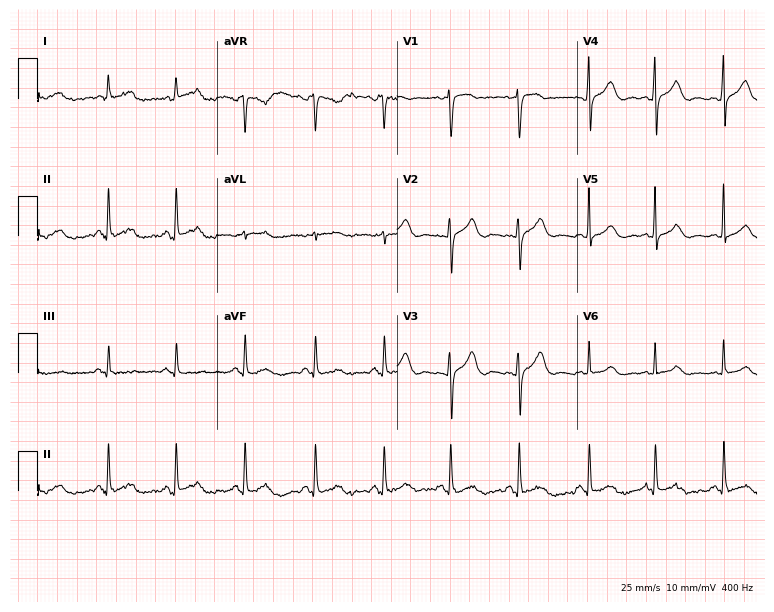
Electrocardiogram, a 47-year-old female patient. Overall reading on record: normal ECG.